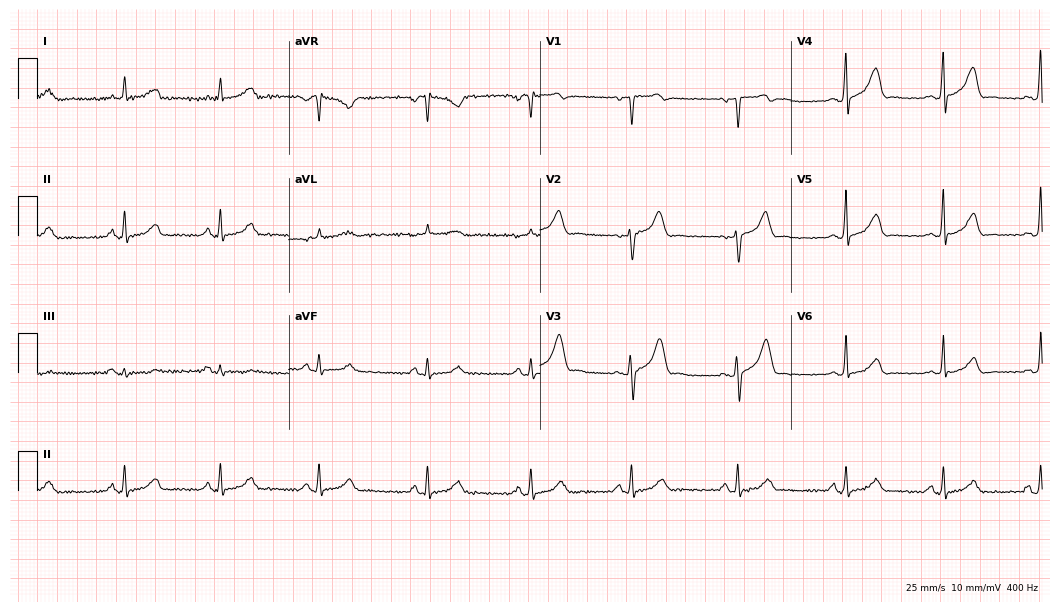
Electrocardiogram (10.2-second recording at 400 Hz), a woman, 34 years old. Of the six screened findings (first-degree AV block, right bundle branch block, left bundle branch block, sinus bradycardia, atrial fibrillation, sinus tachycardia), none is recorded. Other findings, if any, are not listed.